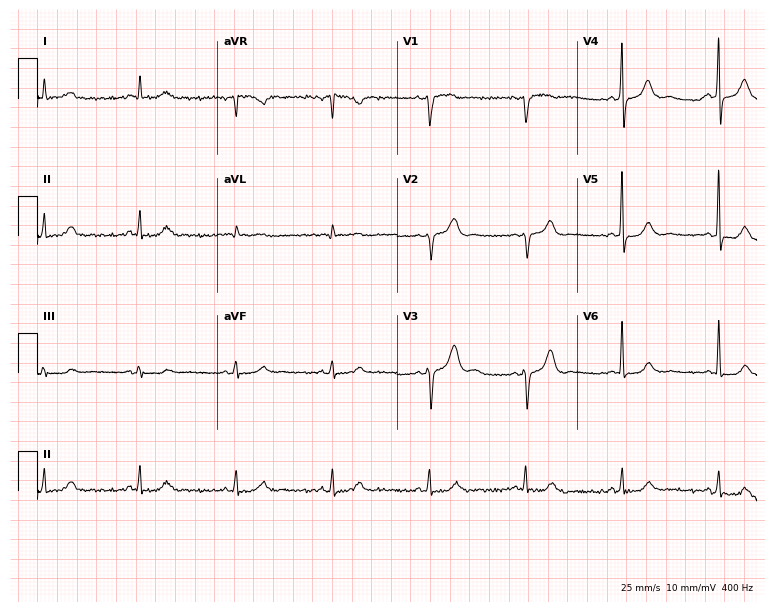
12-lead ECG from a male patient, 62 years old (7.3-second recording at 400 Hz). Recorded interpretation: within normal limits.